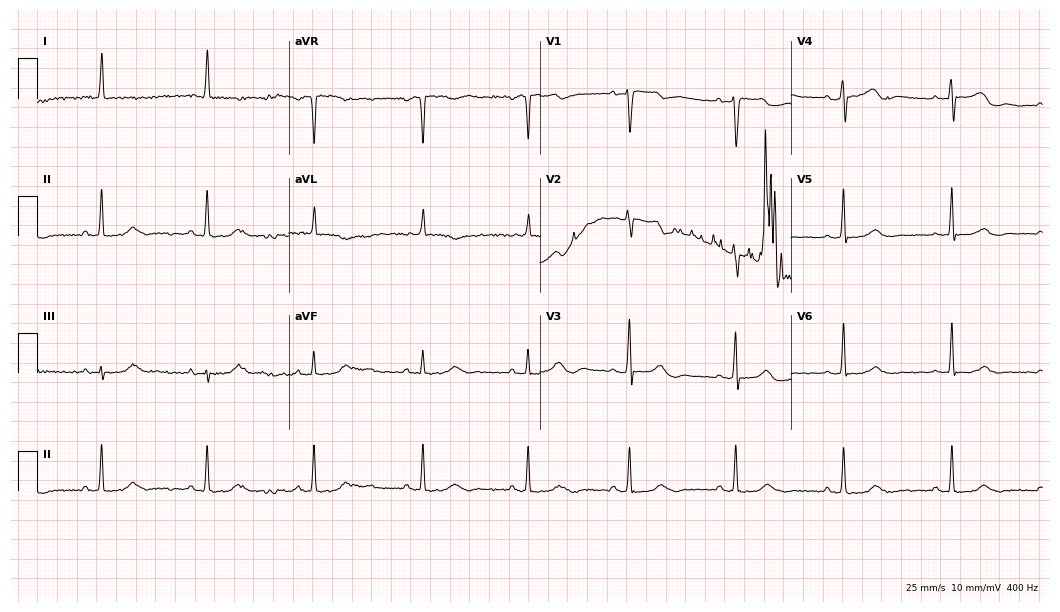
Resting 12-lead electrocardiogram (10.2-second recording at 400 Hz). Patient: a 62-year-old female. None of these six findings is recorded: first-degree AV block, right bundle branch block, left bundle branch block, sinus bradycardia, atrial fibrillation, sinus tachycardia. Only these six findings were labelled.